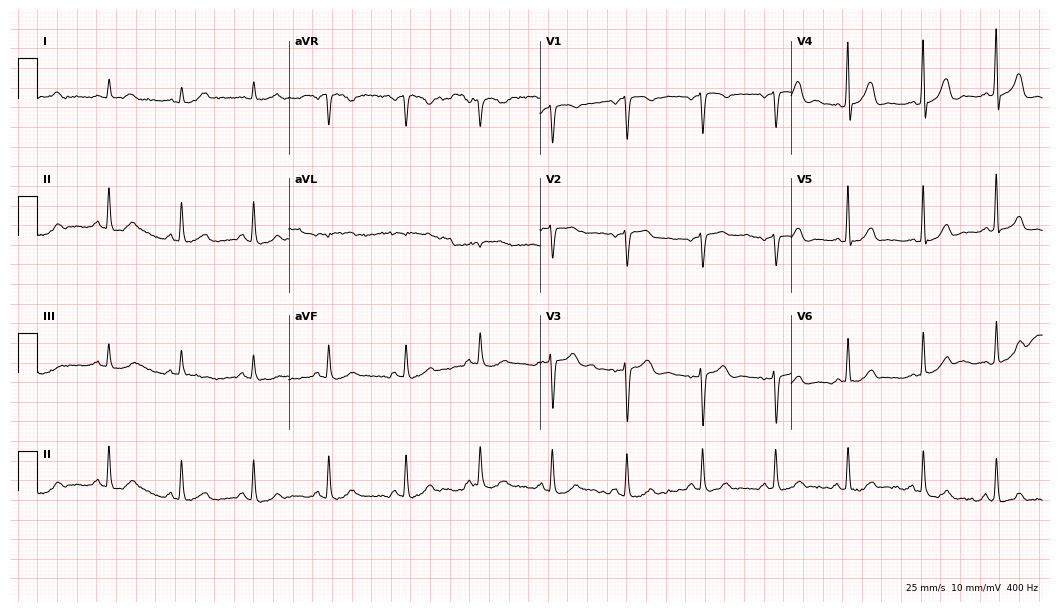
Standard 12-lead ECG recorded from a 47-year-old female patient. Read as a normal ECG.